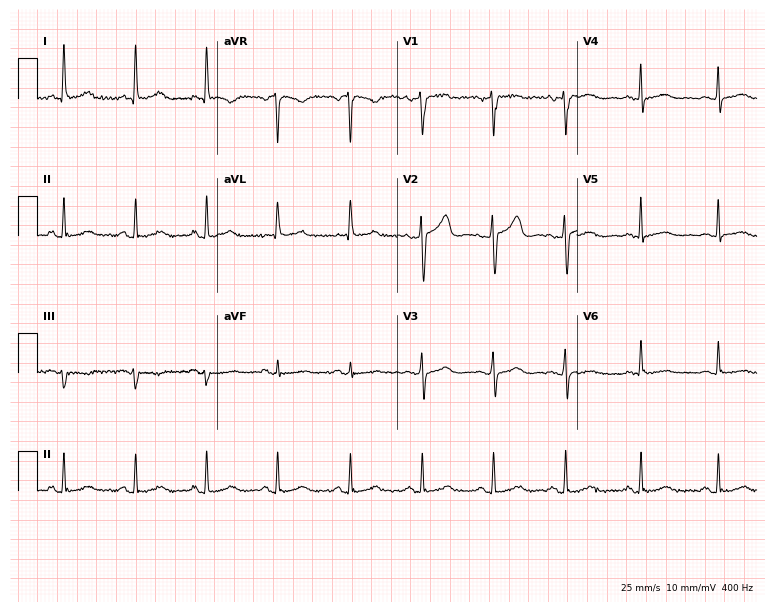
Standard 12-lead ECG recorded from a 71-year-old female. None of these six findings is recorded: first-degree AV block, right bundle branch block, left bundle branch block, sinus bradycardia, atrial fibrillation, sinus tachycardia. Findings outside these six are not listed.